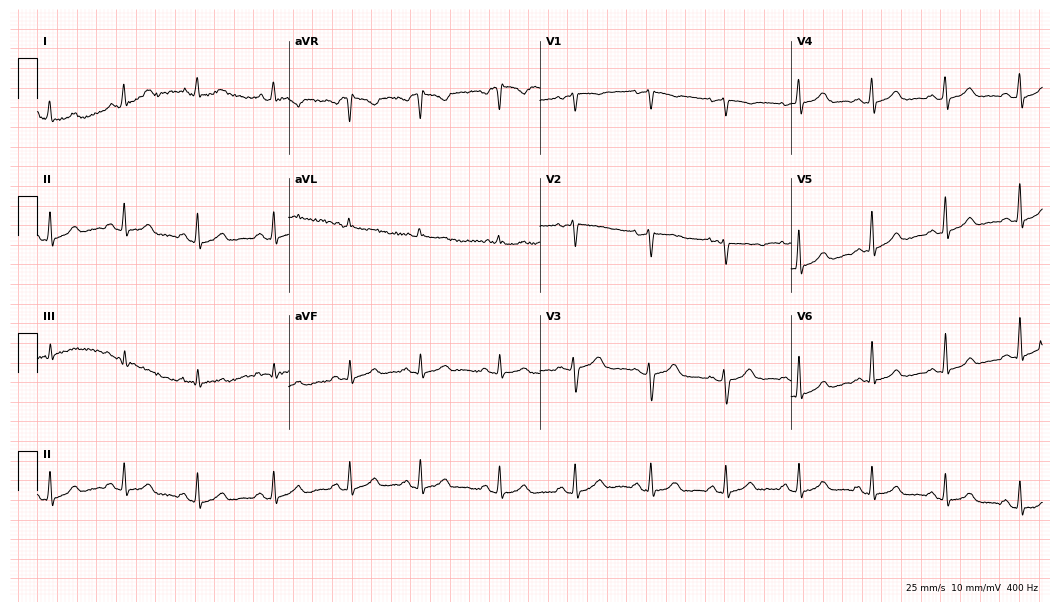
12-lead ECG from a 34-year-old female patient. Labelled as a normal ECG.